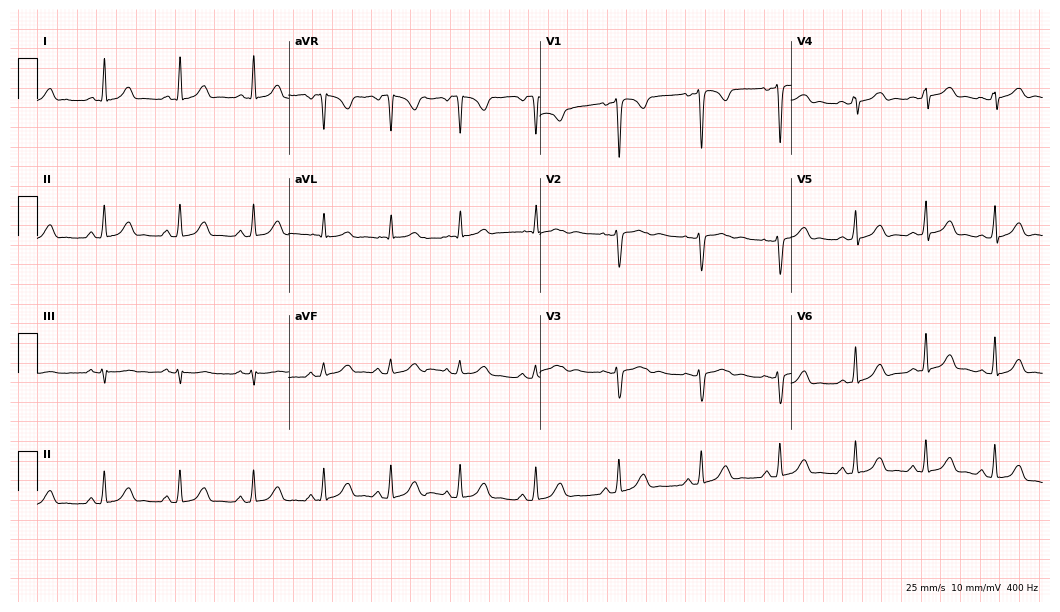
ECG (10.2-second recording at 400 Hz) — a female patient, 30 years old. Screened for six findings — first-degree AV block, right bundle branch block, left bundle branch block, sinus bradycardia, atrial fibrillation, sinus tachycardia — none is recorded.